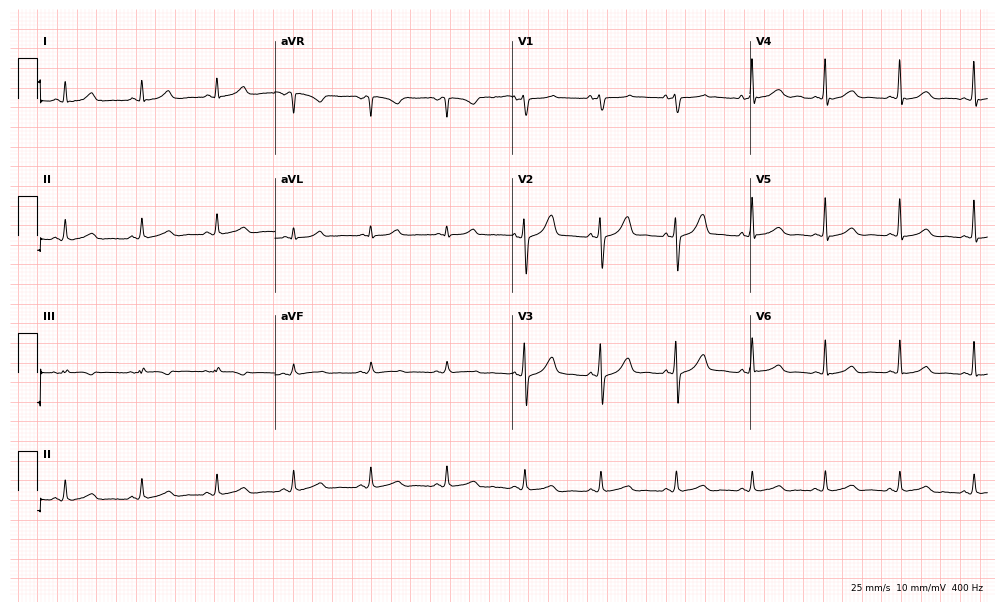
12-lead ECG from a 48-year-old woman. No first-degree AV block, right bundle branch block, left bundle branch block, sinus bradycardia, atrial fibrillation or sinus tachycardia recorded for this tracing.